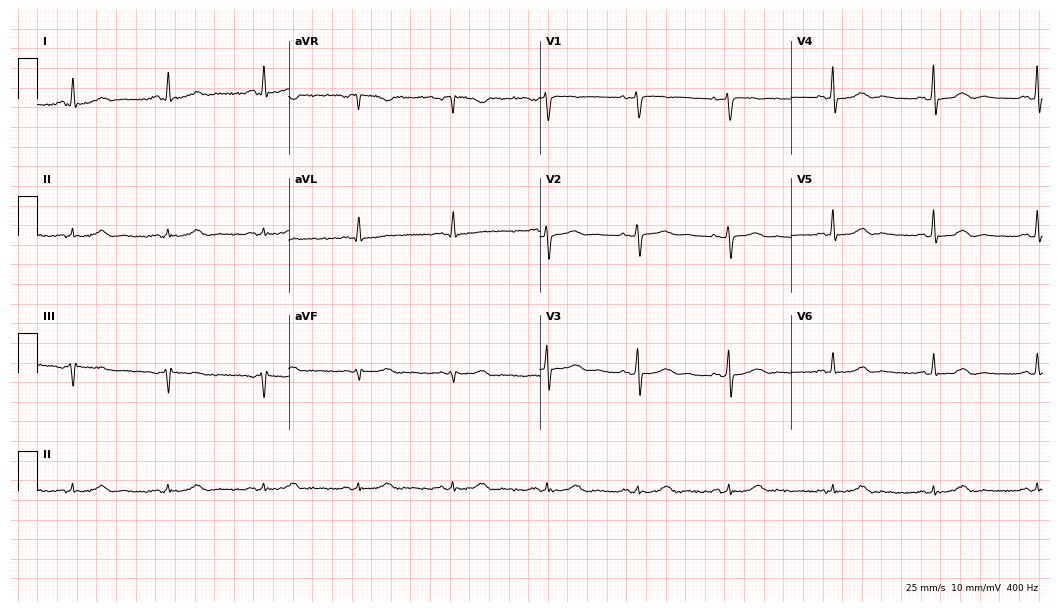
ECG — a 54-year-old woman. Labelled as a normal ECG.